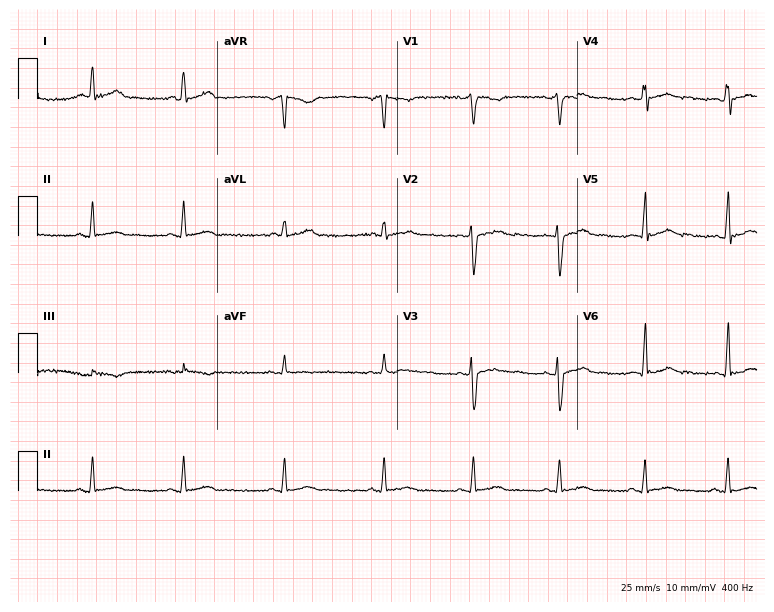
12-lead ECG (7.3-second recording at 400 Hz) from a 36-year-old female. Screened for six findings — first-degree AV block, right bundle branch block, left bundle branch block, sinus bradycardia, atrial fibrillation, sinus tachycardia — none is recorded. Findings outside these six are not listed.